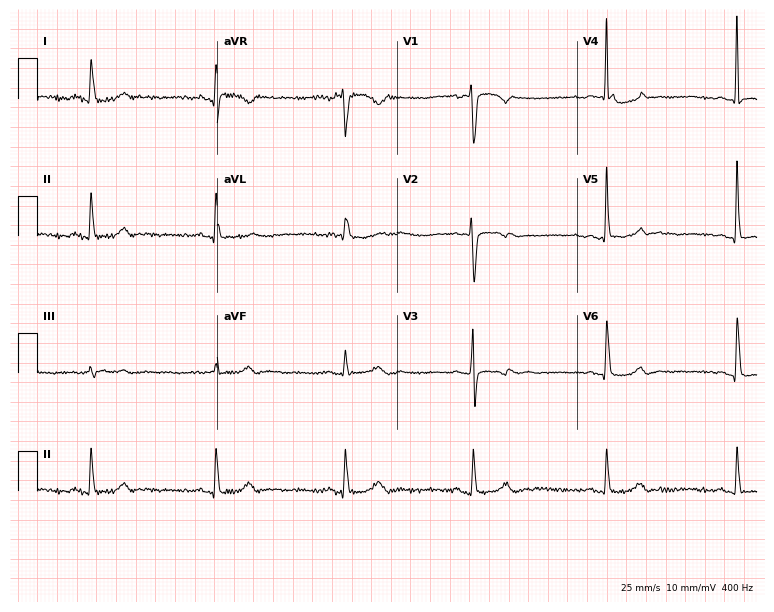
Standard 12-lead ECG recorded from a 64-year-old female. The tracing shows sinus bradycardia (a sinus rate of 50 beats per minute or less).